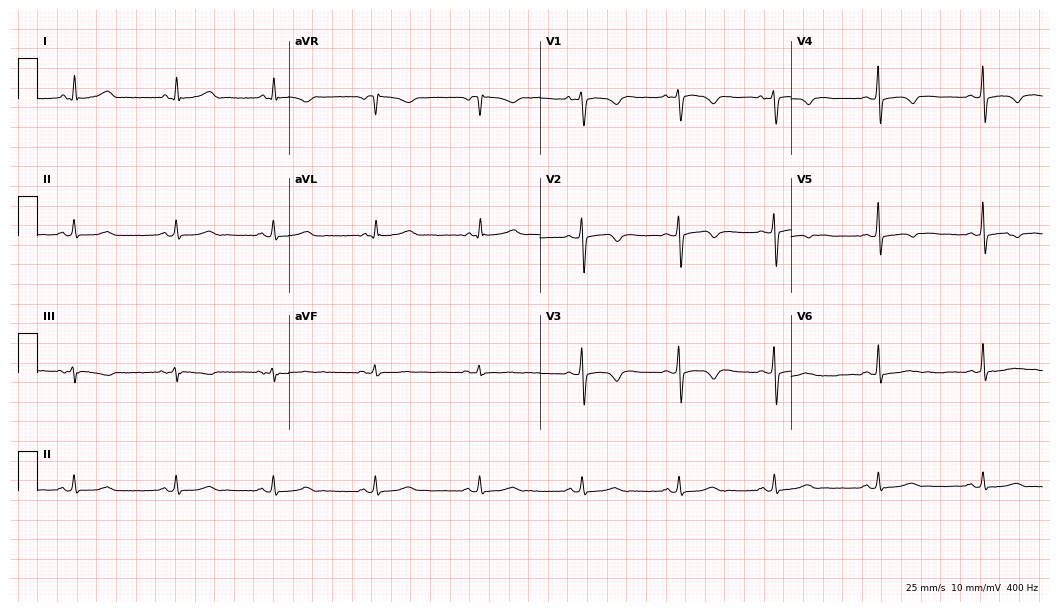
Standard 12-lead ECG recorded from a female, 35 years old (10.2-second recording at 400 Hz). None of these six findings is recorded: first-degree AV block, right bundle branch block, left bundle branch block, sinus bradycardia, atrial fibrillation, sinus tachycardia.